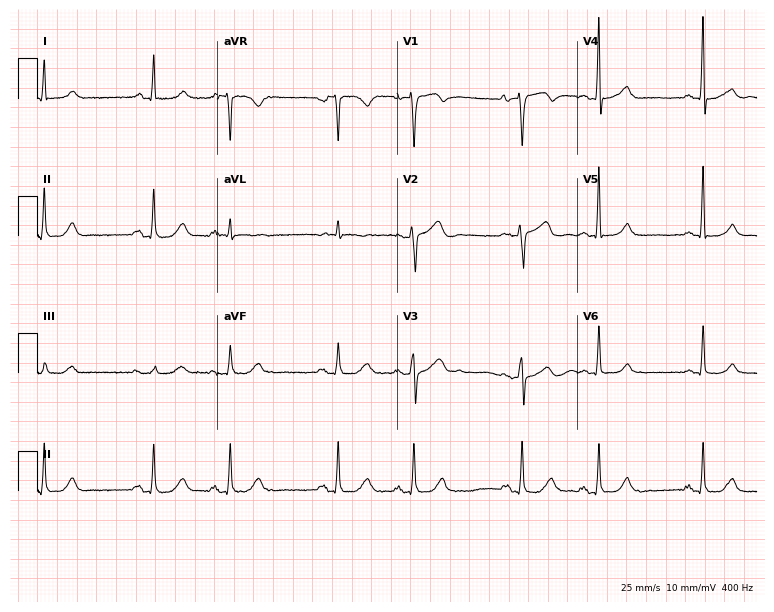
Electrocardiogram (7.3-second recording at 400 Hz), a 75-year-old male patient. Of the six screened findings (first-degree AV block, right bundle branch block (RBBB), left bundle branch block (LBBB), sinus bradycardia, atrial fibrillation (AF), sinus tachycardia), none is recorded. Only these six findings were labelled.